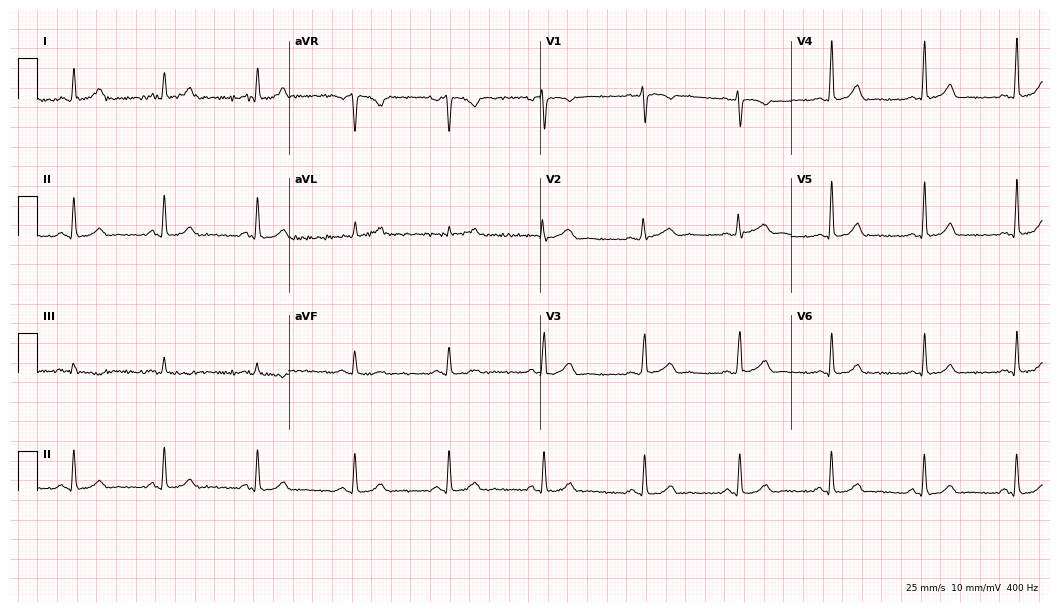
12-lead ECG from a female patient, 42 years old. Recorded interpretation: within normal limits.